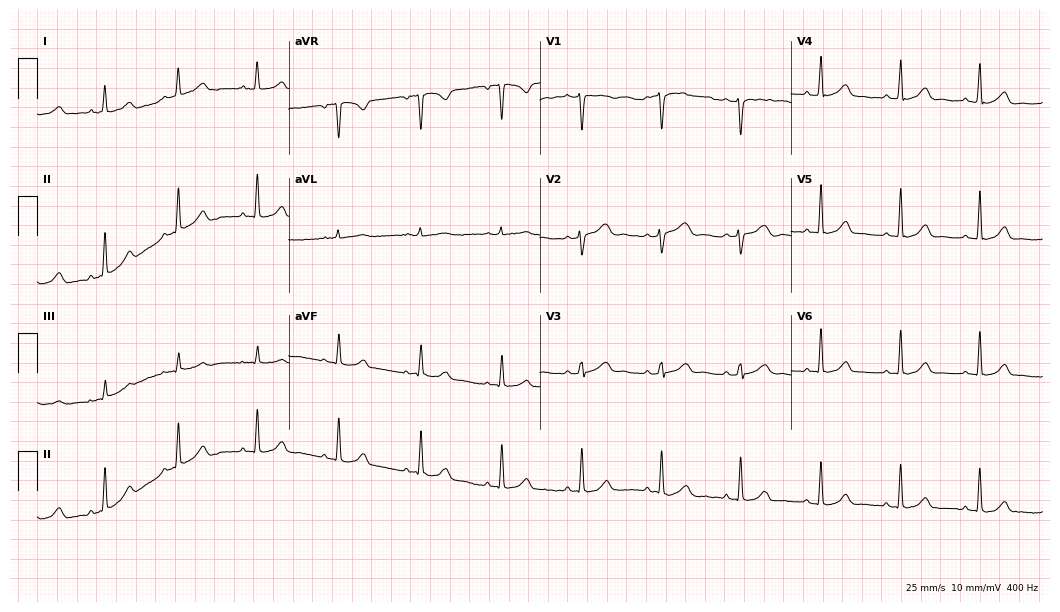
Standard 12-lead ECG recorded from a female patient, 38 years old (10.2-second recording at 400 Hz). Read as a normal ECG.